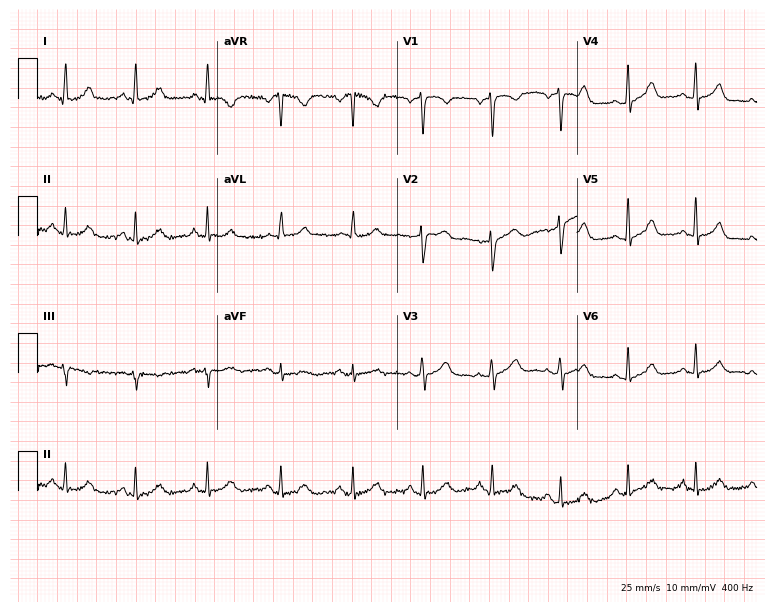
ECG (7.3-second recording at 400 Hz) — a 31-year-old female. Labelled as a normal ECG.